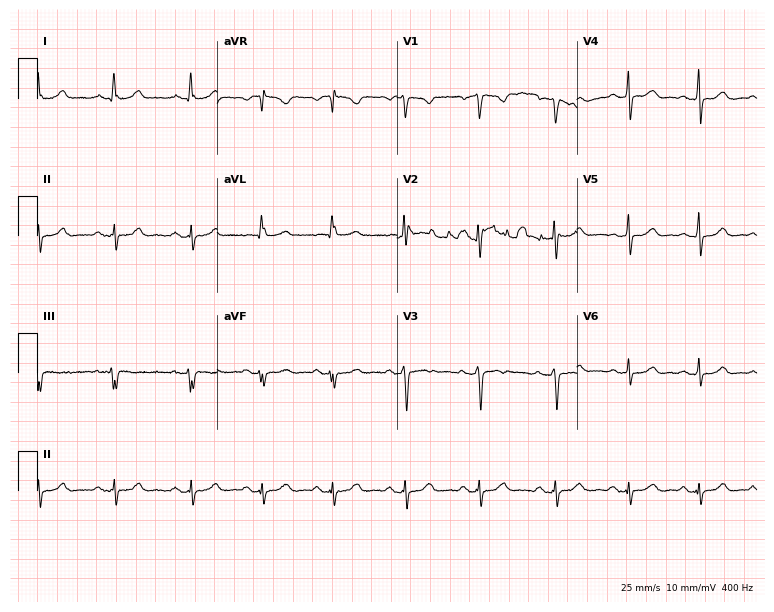
12-lead ECG from a woman, 42 years old. No first-degree AV block, right bundle branch block, left bundle branch block, sinus bradycardia, atrial fibrillation or sinus tachycardia recorded for this tracing. Other findings, if any, are not listed.